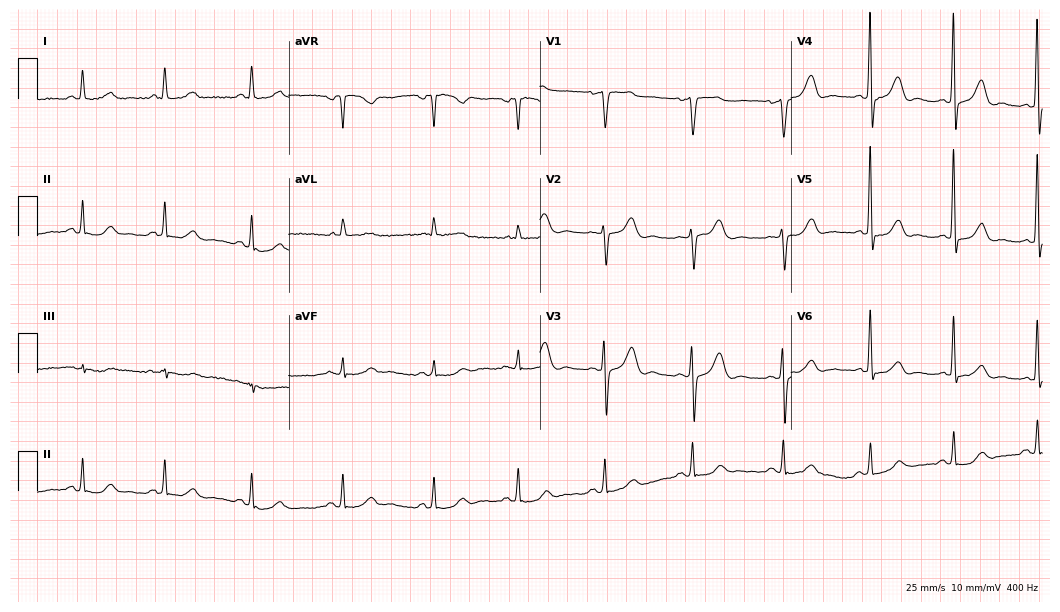
ECG (10.2-second recording at 400 Hz) — a 58-year-old woman. Screened for six findings — first-degree AV block, right bundle branch block (RBBB), left bundle branch block (LBBB), sinus bradycardia, atrial fibrillation (AF), sinus tachycardia — none is recorded.